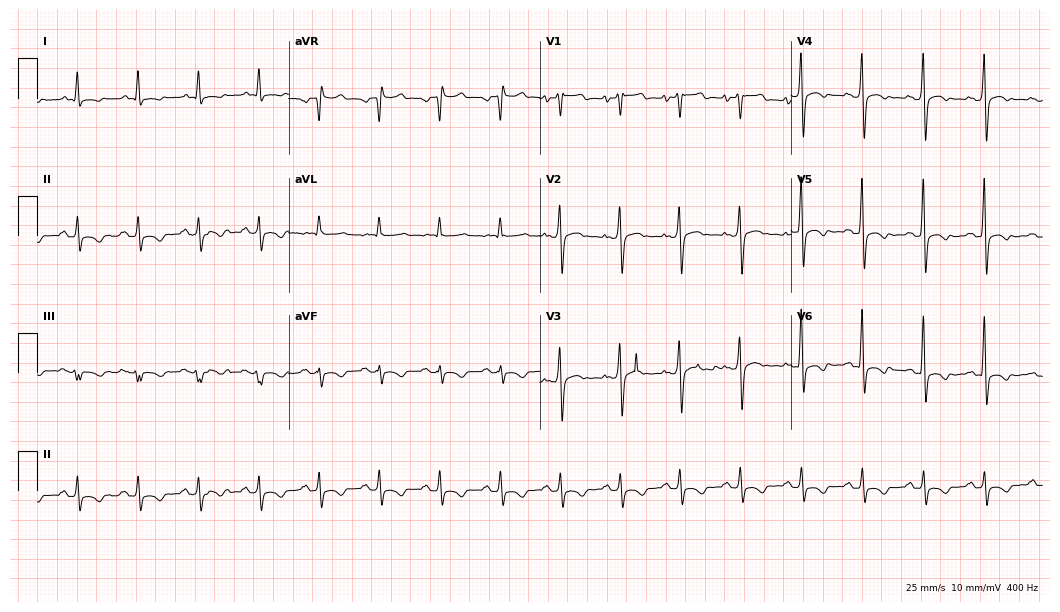
ECG (10.2-second recording at 400 Hz) — a 66-year-old male patient. Screened for six findings — first-degree AV block, right bundle branch block, left bundle branch block, sinus bradycardia, atrial fibrillation, sinus tachycardia — none is recorded.